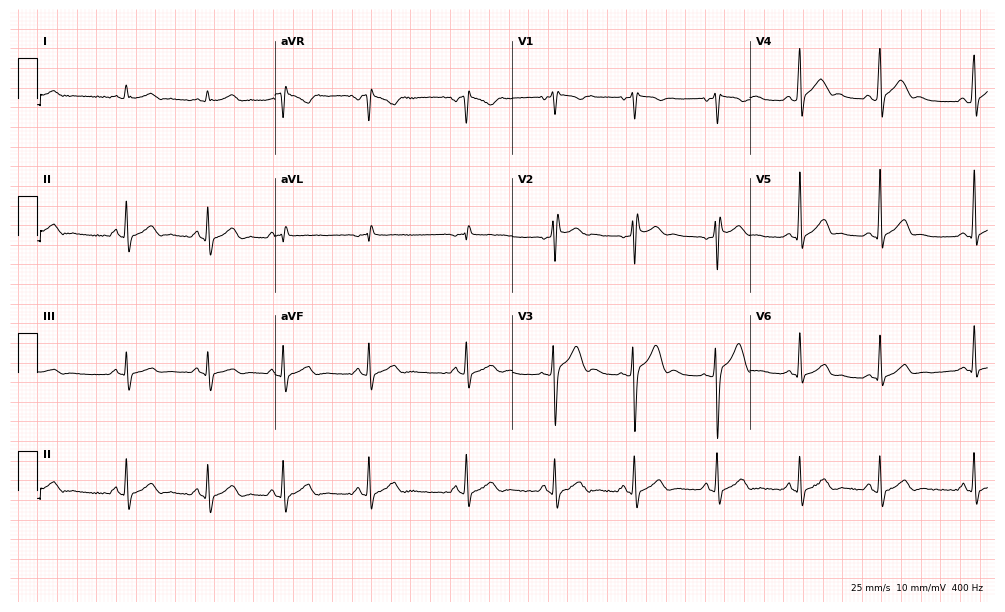
Standard 12-lead ECG recorded from a 20-year-old male. Read as a normal ECG.